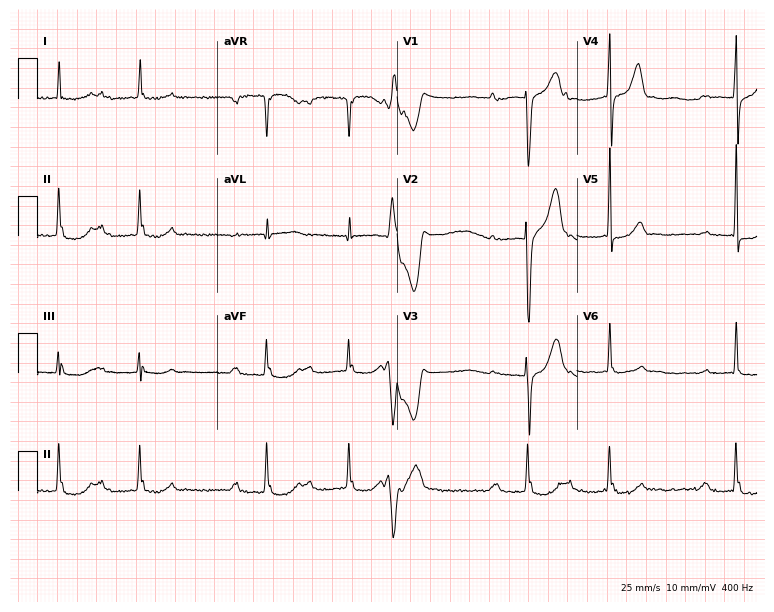
Resting 12-lead electrocardiogram (7.3-second recording at 400 Hz). Patient: a 77-year-old male. The tracing shows first-degree AV block.